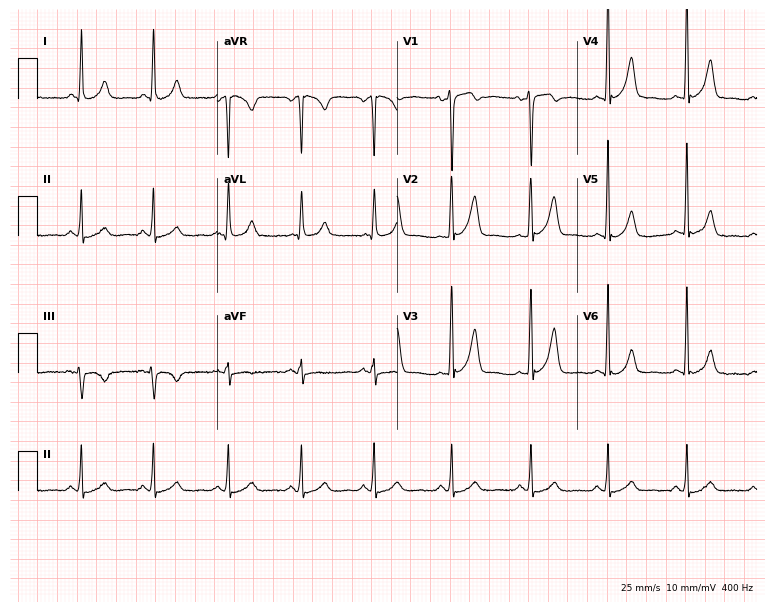
Standard 12-lead ECG recorded from a 45-year-old female. None of these six findings is recorded: first-degree AV block, right bundle branch block (RBBB), left bundle branch block (LBBB), sinus bradycardia, atrial fibrillation (AF), sinus tachycardia. Only these six findings were labelled.